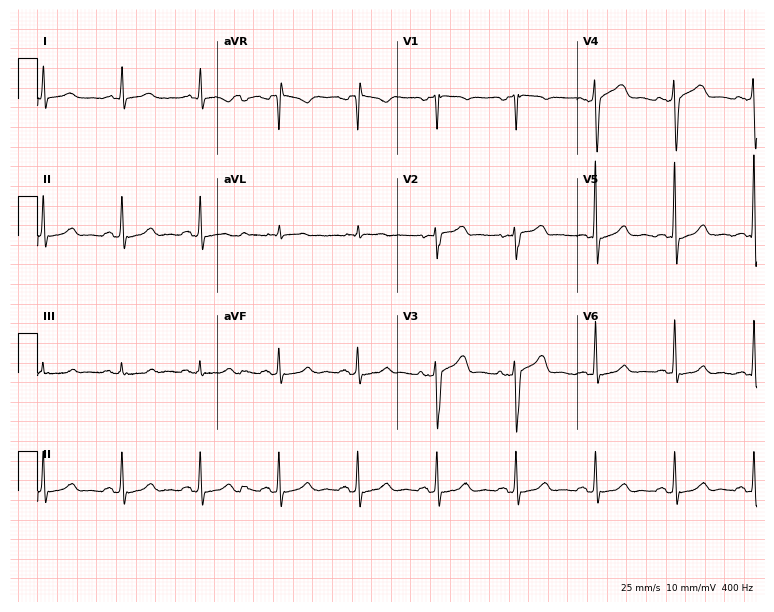
12-lead ECG from a male patient, 50 years old. No first-degree AV block, right bundle branch block (RBBB), left bundle branch block (LBBB), sinus bradycardia, atrial fibrillation (AF) or sinus tachycardia recorded for this tracing.